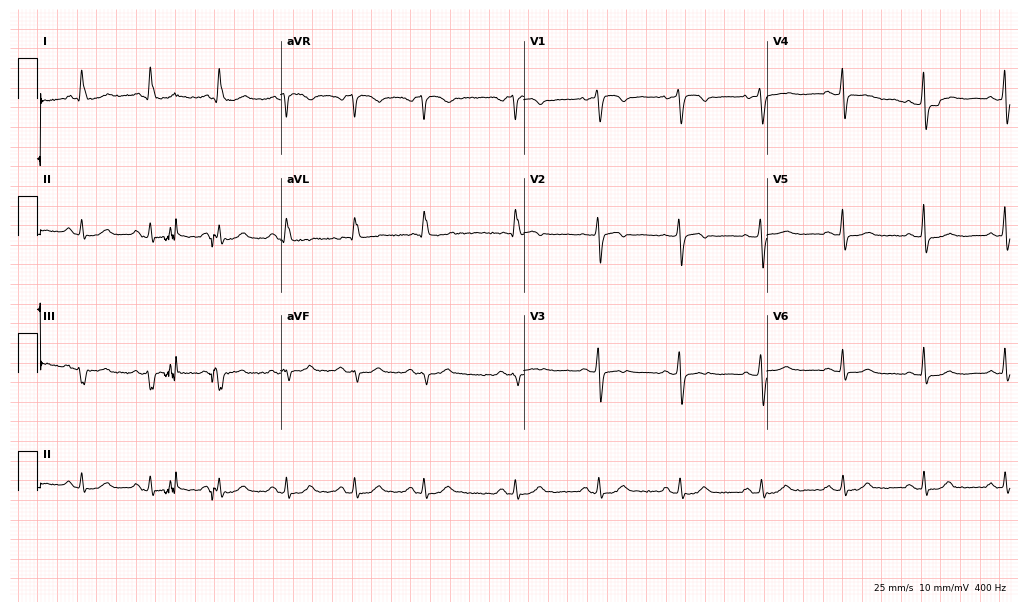
Resting 12-lead electrocardiogram. Patient: a female, 70 years old. None of these six findings is recorded: first-degree AV block, right bundle branch block, left bundle branch block, sinus bradycardia, atrial fibrillation, sinus tachycardia.